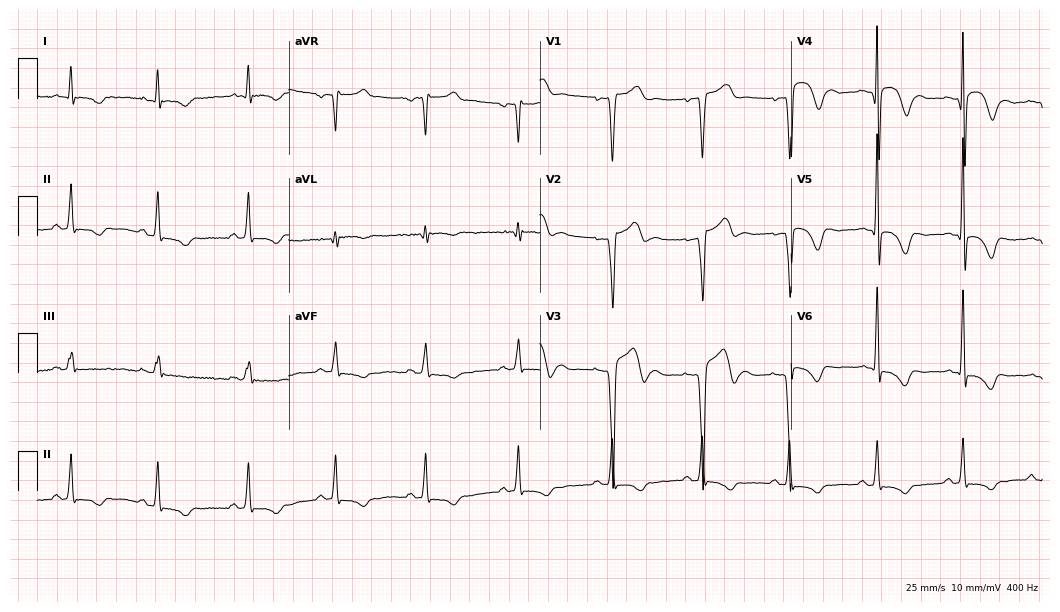
ECG — a 43-year-old man. Screened for six findings — first-degree AV block, right bundle branch block, left bundle branch block, sinus bradycardia, atrial fibrillation, sinus tachycardia — none is recorded. Findings outside these six are not listed.